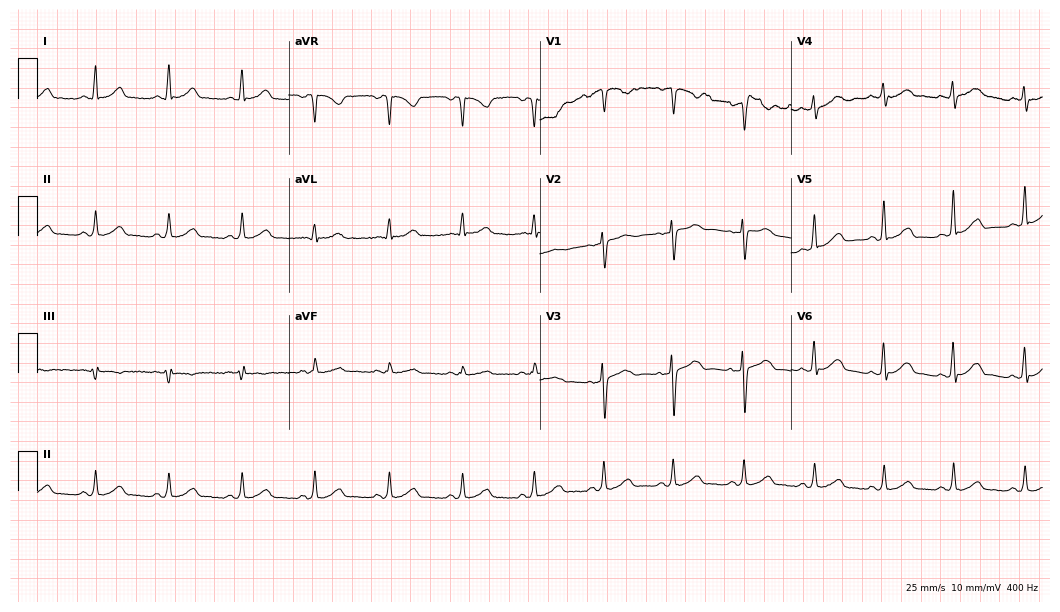
Standard 12-lead ECG recorded from a 42-year-old female (10.2-second recording at 400 Hz). Read as a normal ECG.